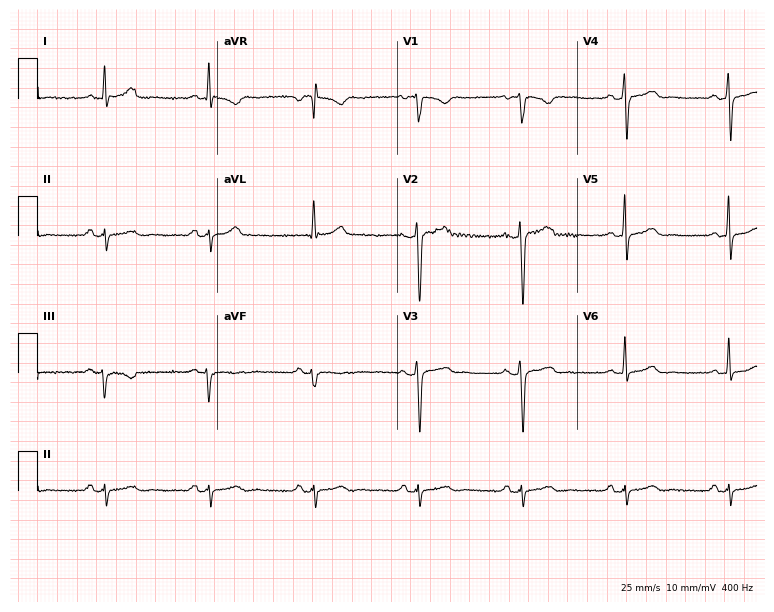
Electrocardiogram, a male patient, 49 years old. Of the six screened findings (first-degree AV block, right bundle branch block (RBBB), left bundle branch block (LBBB), sinus bradycardia, atrial fibrillation (AF), sinus tachycardia), none is recorded. Findings outside these six are not listed.